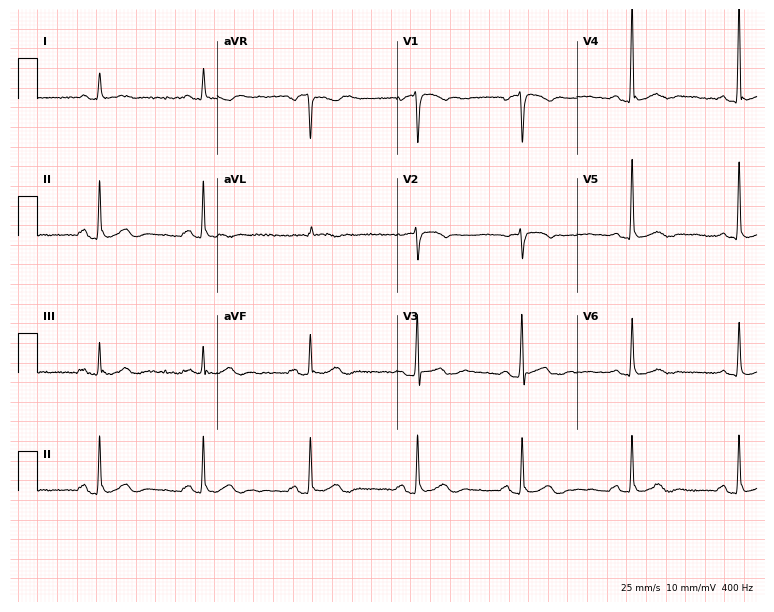
12-lead ECG from a man, 54 years old. Screened for six findings — first-degree AV block, right bundle branch block, left bundle branch block, sinus bradycardia, atrial fibrillation, sinus tachycardia — none is recorded. Findings outside these six are not listed.